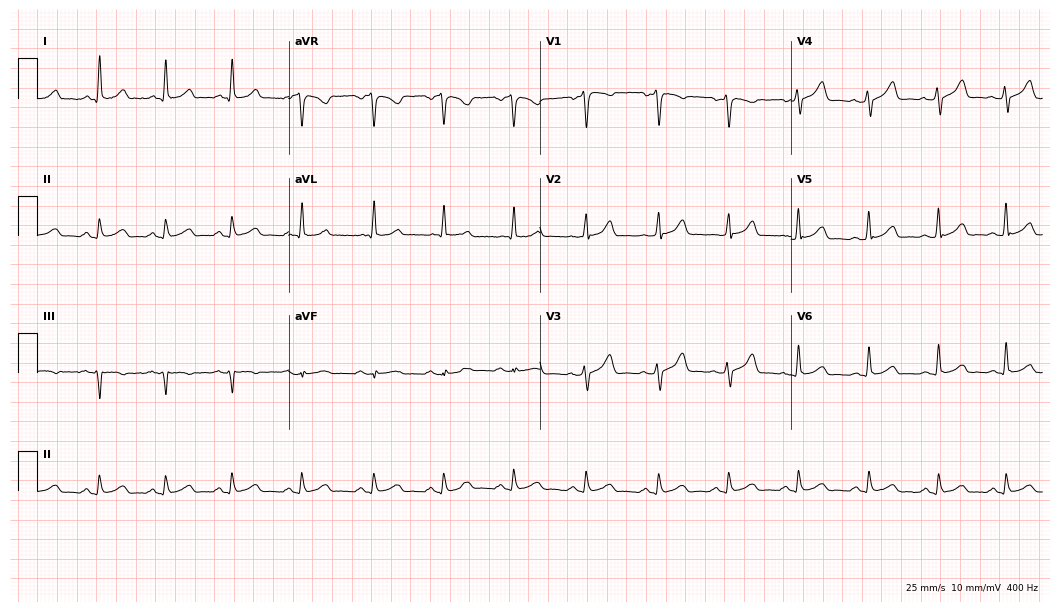
12-lead ECG from a man, 39 years old. Labelled as a normal ECG.